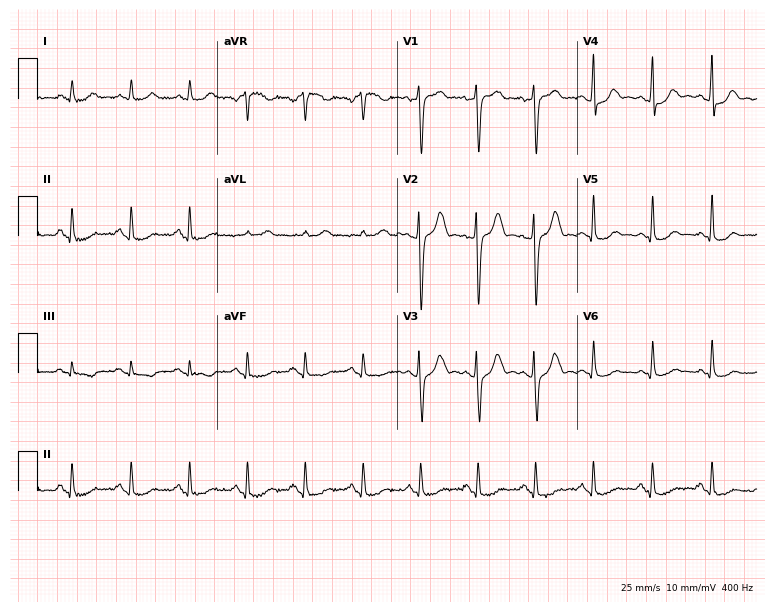
Standard 12-lead ECG recorded from a 42-year-old male patient (7.3-second recording at 400 Hz). None of these six findings is recorded: first-degree AV block, right bundle branch block (RBBB), left bundle branch block (LBBB), sinus bradycardia, atrial fibrillation (AF), sinus tachycardia.